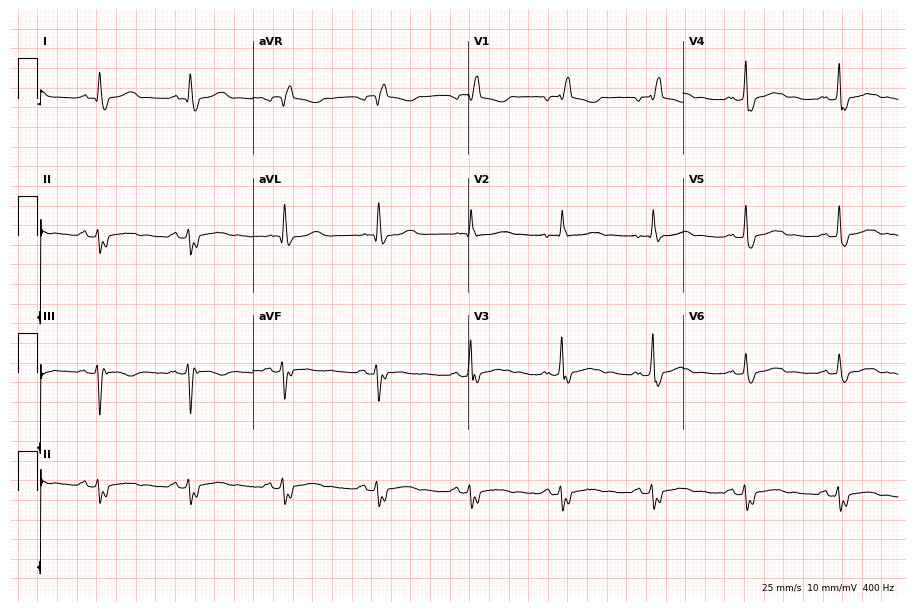
12-lead ECG from a male, 67 years old. No first-degree AV block, right bundle branch block, left bundle branch block, sinus bradycardia, atrial fibrillation or sinus tachycardia recorded for this tracing. Only these six findings were labelled.